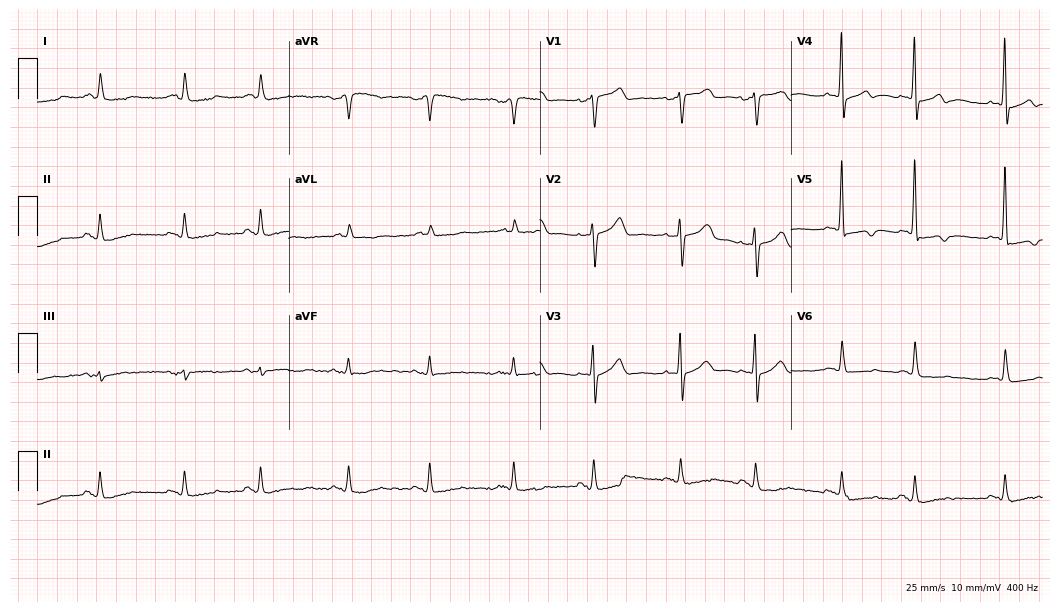
Standard 12-lead ECG recorded from a female patient, 84 years old (10.2-second recording at 400 Hz). None of these six findings is recorded: first-degree AV block, right bundle branch block, left bundle branch block, sinus bradycardia, atrial fibrillation, sinus tachycardia. Other findings, if any, are not listed.